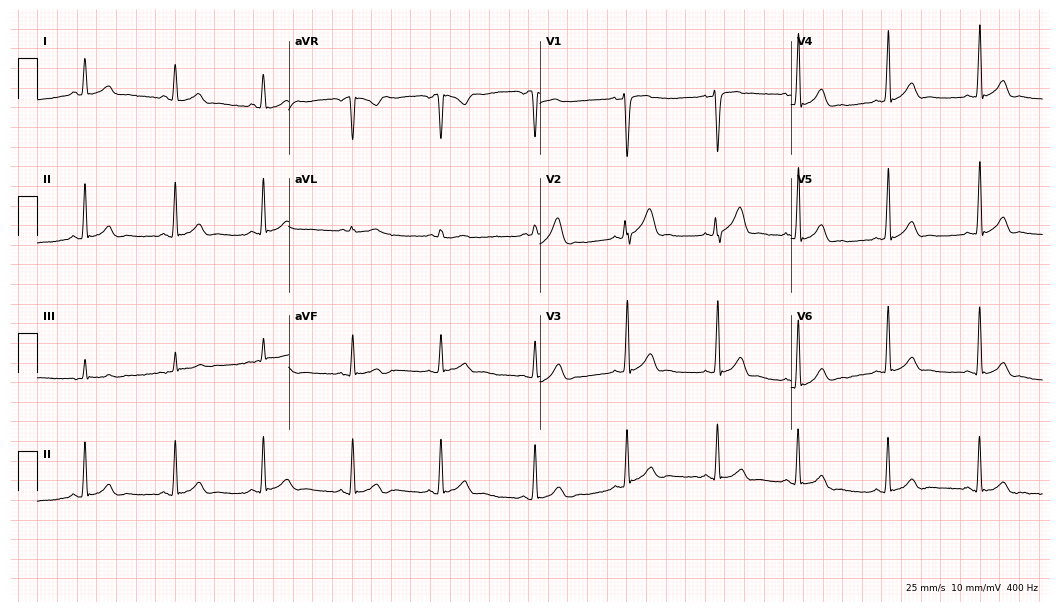
12-lead ECG from a man, 19 years old. Recorded interpretation: within normal limits.